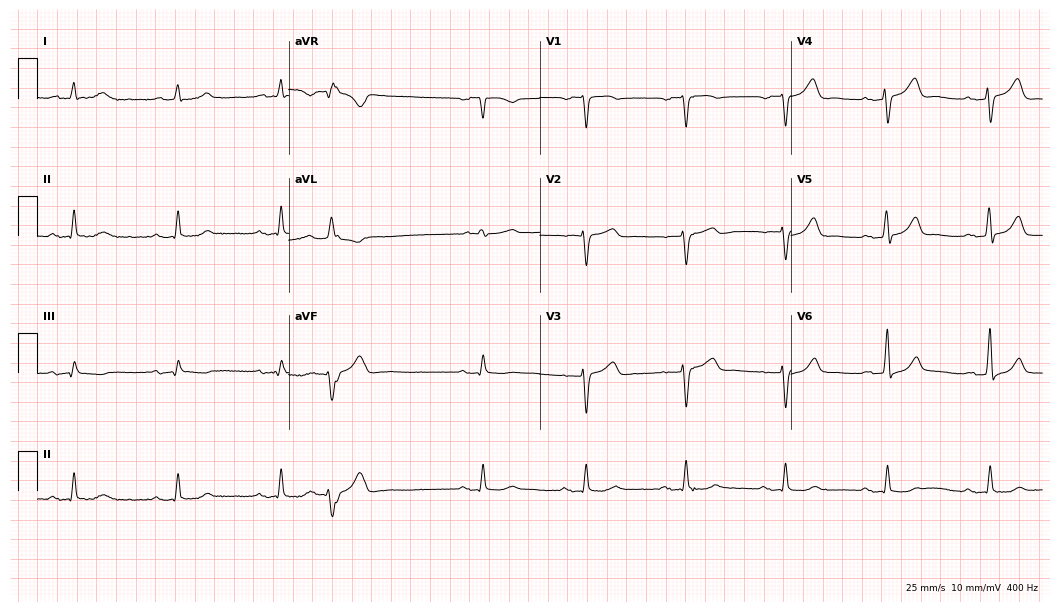
Resting 12-lead electrocardiogram (10.2-second recording at 400 Hz). Patient: an 83-year-old man. None of these six findings is recorded: first-degree AV block, right bundle branch block, left bundle branch block, sinus bradycardia, atrial fibrillation, sinus tachycardia.